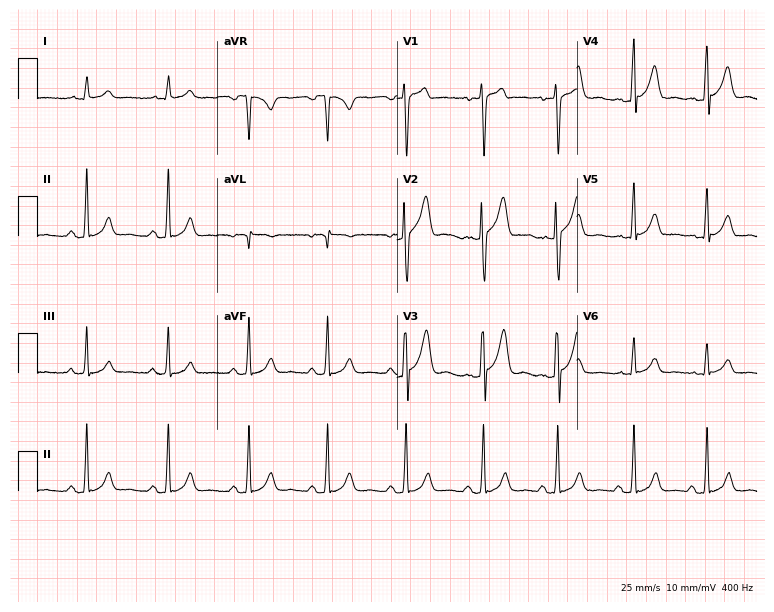
12-lead ECG (7.3-second recording at 400 Hz) from a man, 20 years old. Labelled as a normal ECG.